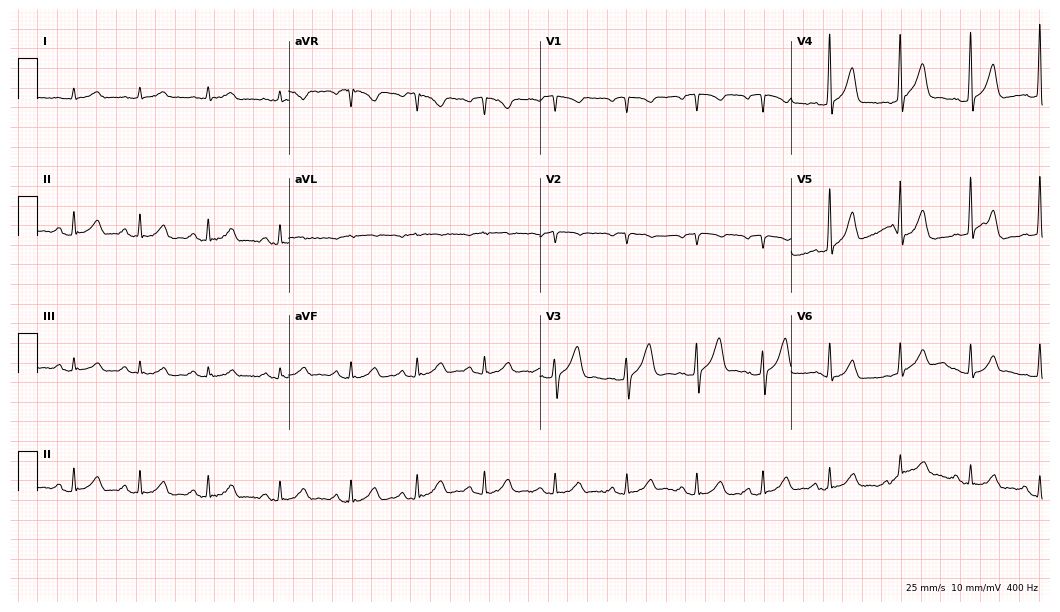
Resting 12-lead electrocardiogram. Patient: a male, 80 years old. None of these six findings is recorded: first-degree AV block, right bundle branch block, left bundle branch block, sinus bradycardia, atrial fibrillation, sinus tachycardia. Findings outside these six are not listed.